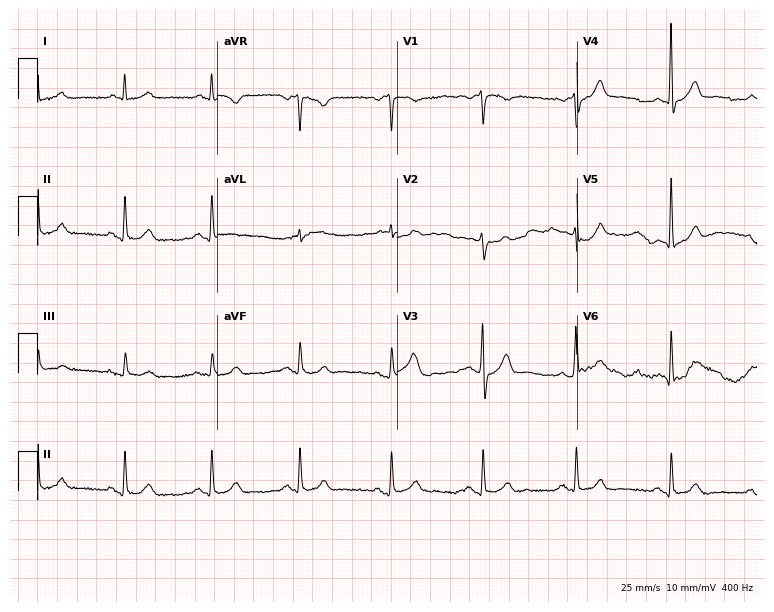
Resting 12-lead electrocardiogram (7.3-second recording at 400 Hz). Patient: a man, 62 years old. Read as a normal ECG.